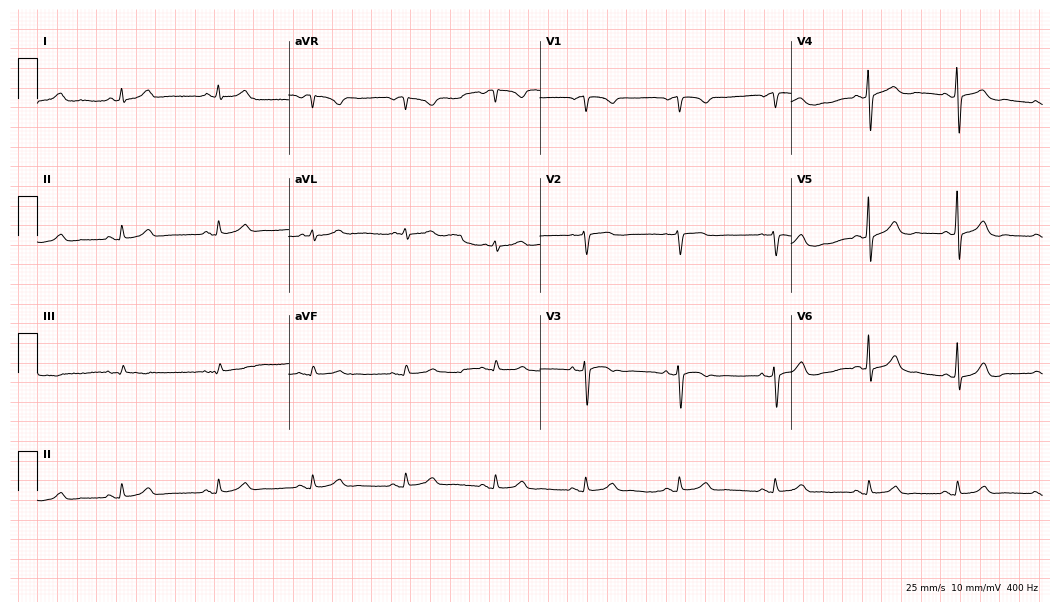
12-lead ECG from a female, 61 years old (10.2-second recording at 400 Hz). No first-degree AV block, right bundle branch block, left bundle branch block, sinus bradycardia, atrial fibrillation or sinus tachycardia recorded for this tracing.